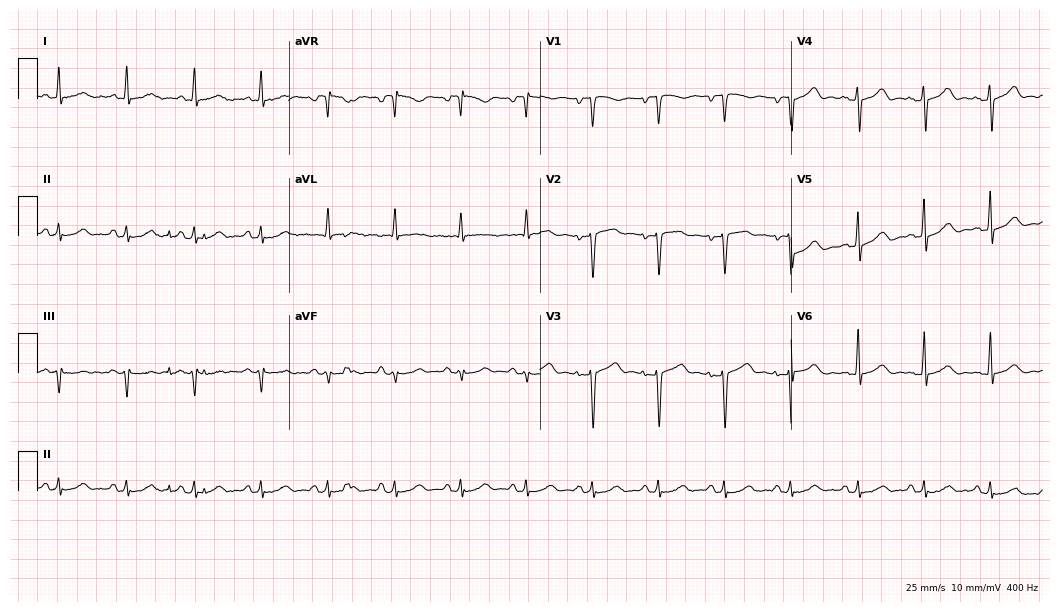
Resting 12-lead electrocardiogram (10.2-second recording at 400 Hz). Patient: a 57-year-old man. Read as a normal ECG.